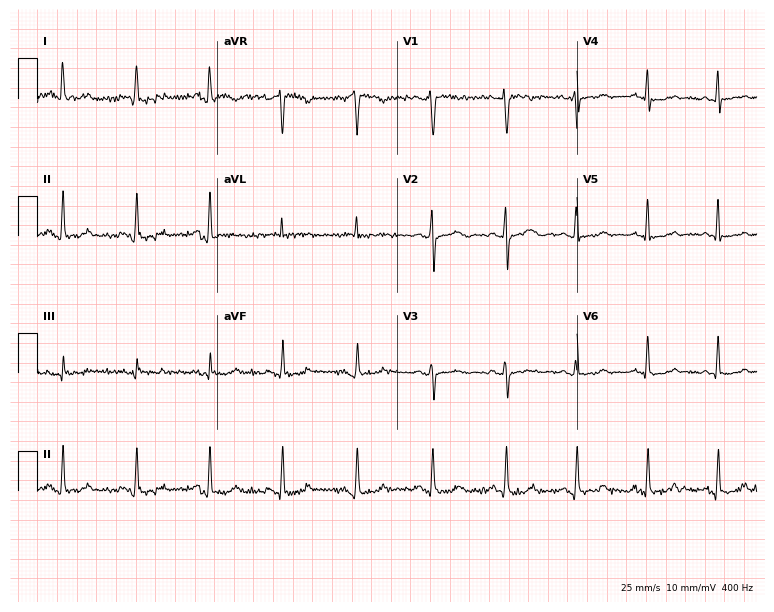
Standard 12-lead ECG recorded from a 45-year-old female patient. None of these six findings is recorded: first-degree AV block, right bundle branch block, left bundle branch block, sinus bradycardia, atrial fibrillation, sinus tachycardia. Findings outside these six are not listed.